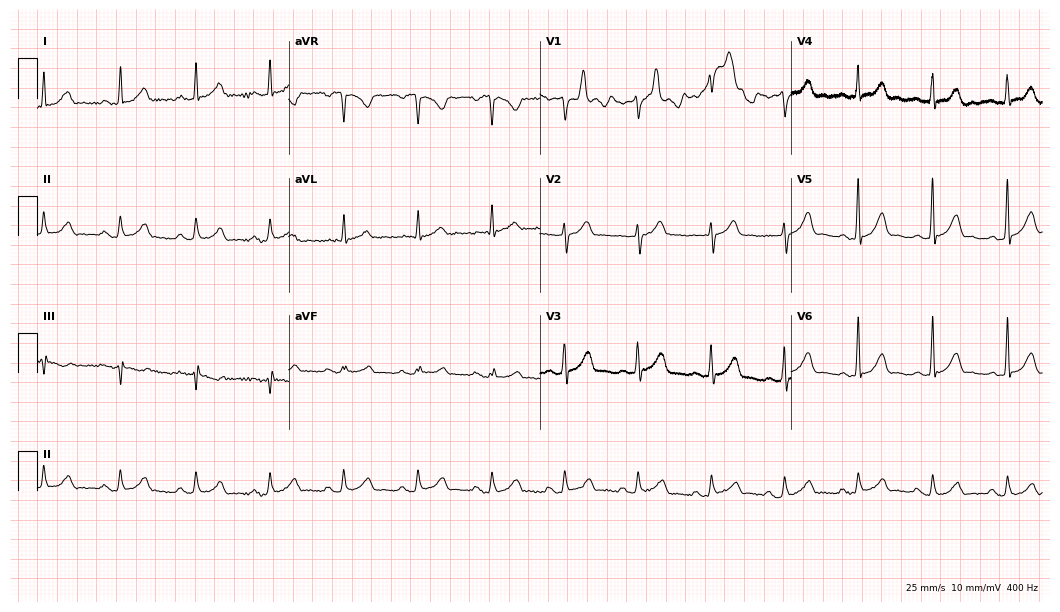
12-lead ECG from a male, 43 years old (10.2-second recording at 400 Hz). Recorded interpretation: within normal limits.